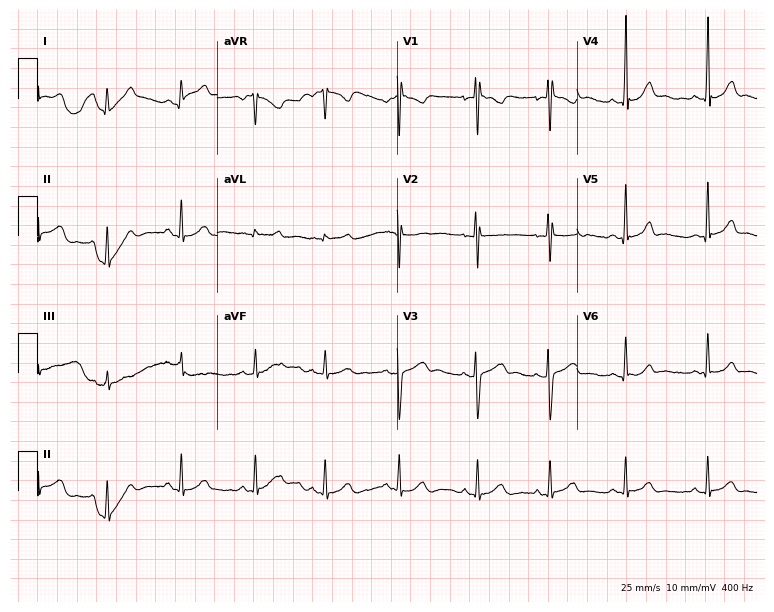
Standard 12-lead ECG recorded from a woman, 18 years old (7.3-second recording at 400 Hz). Read as a normal ECG.